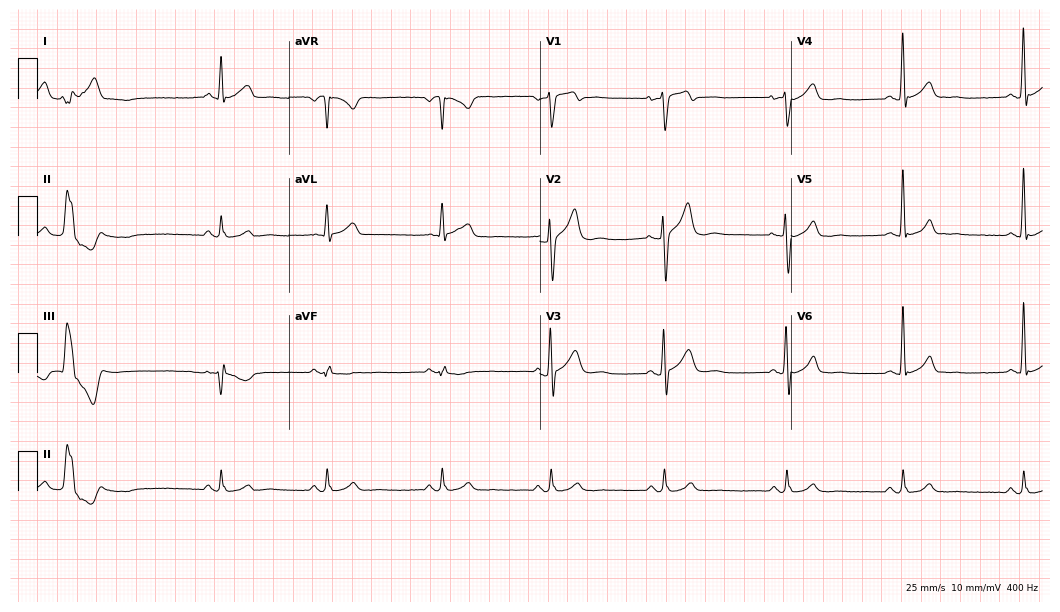
Electrocardiogram, a 36-year-old male. Overall reading on record: normal ECG.